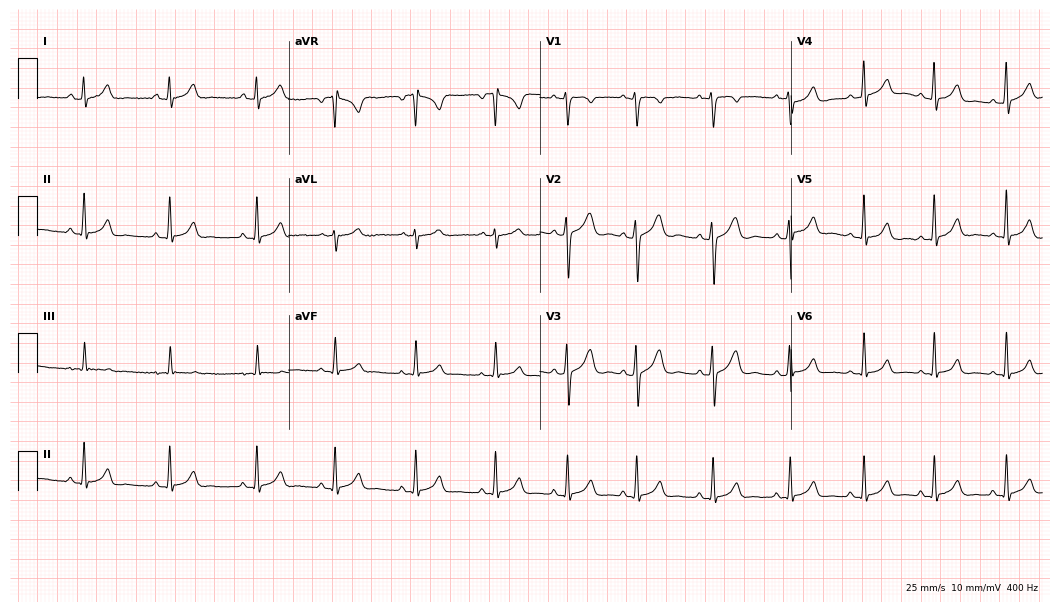
Resting 12-lead electrocardiogram (10.2-second recording at 400 Hz). Patient: a female, 22 years old. Read as a normal ECG.